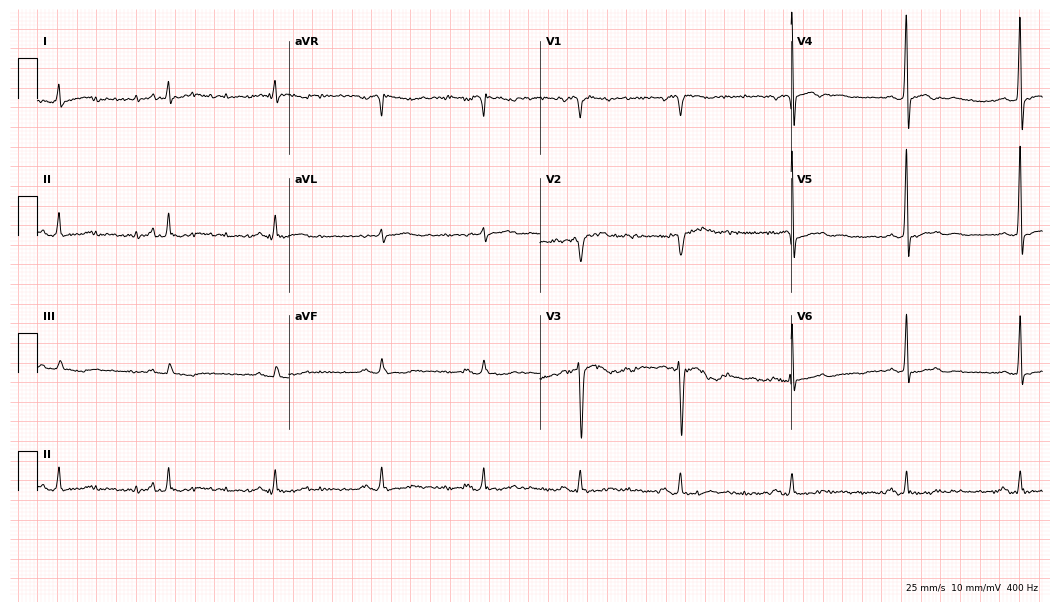
12-lead ECG (10.2-second recording at 400 Hz) from a man, 48 years old. Labelled as a normal ECG.